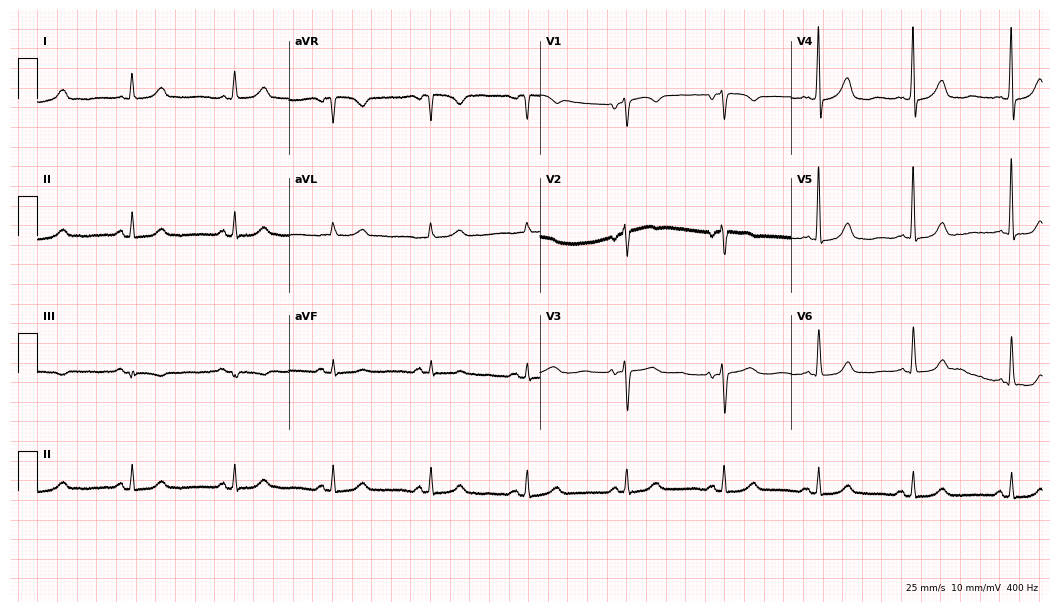
Electrocardiogram (10.2-second recording at 400 Hz), a 61-year-old female. Overall reading on record: normal ECG.